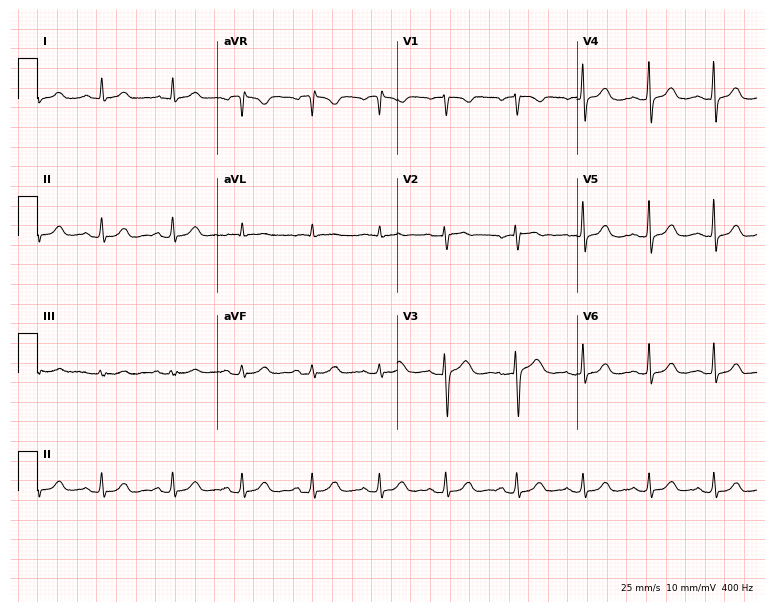
Resting 12-lead electrocardiogram. Patient: a female, 34 years old. Read as a normal ECG.